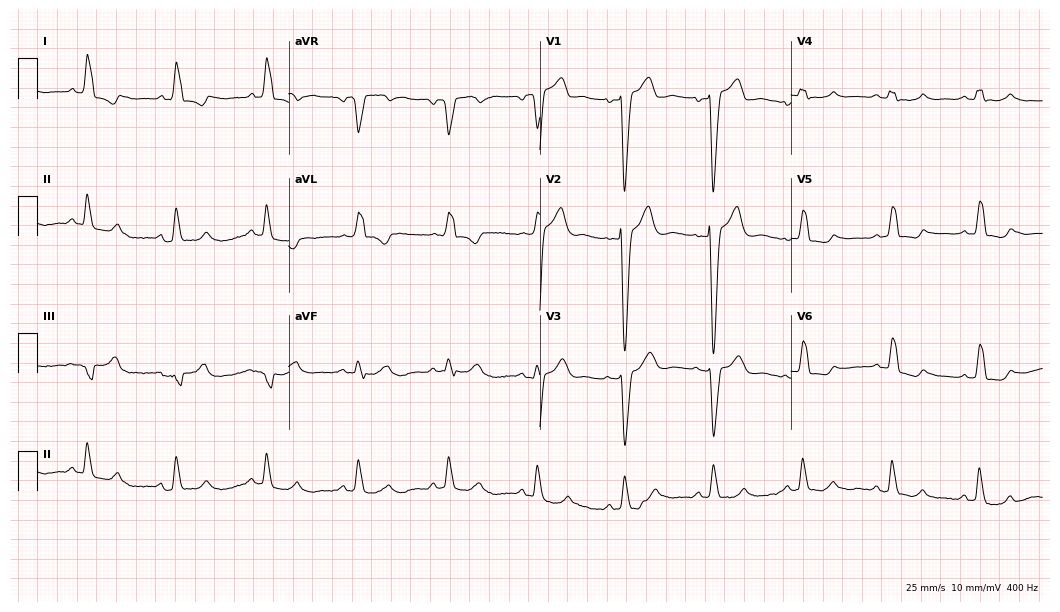
Resting 12-lead electrocardiogram. Patient: a female, 72 years old. The tracing shows left bundle branch block.